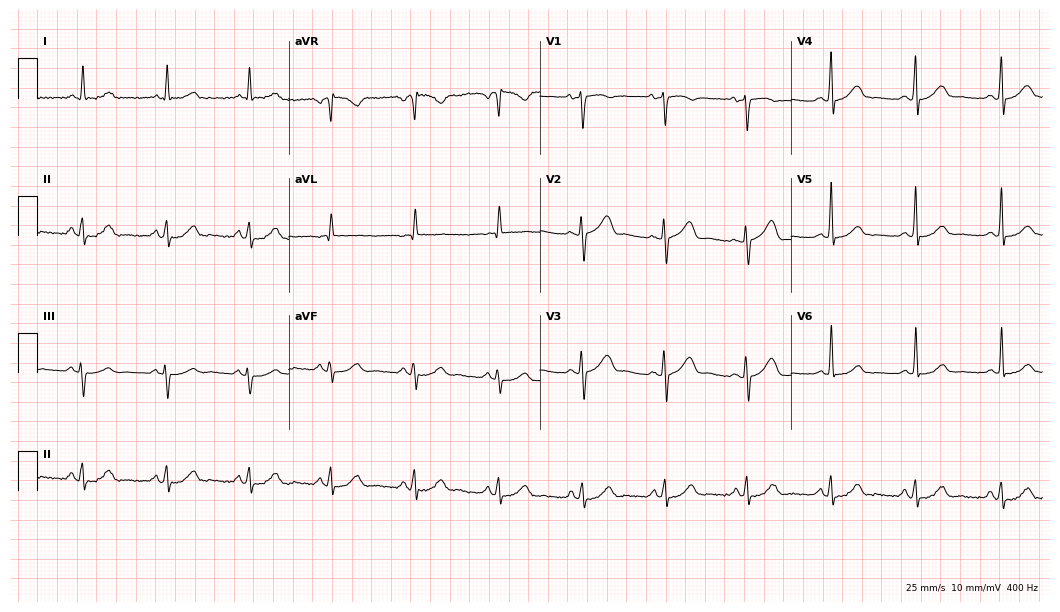
Standard 12-lead ECG recorded from a female patient, 71 years old. Read as a normal ECG.